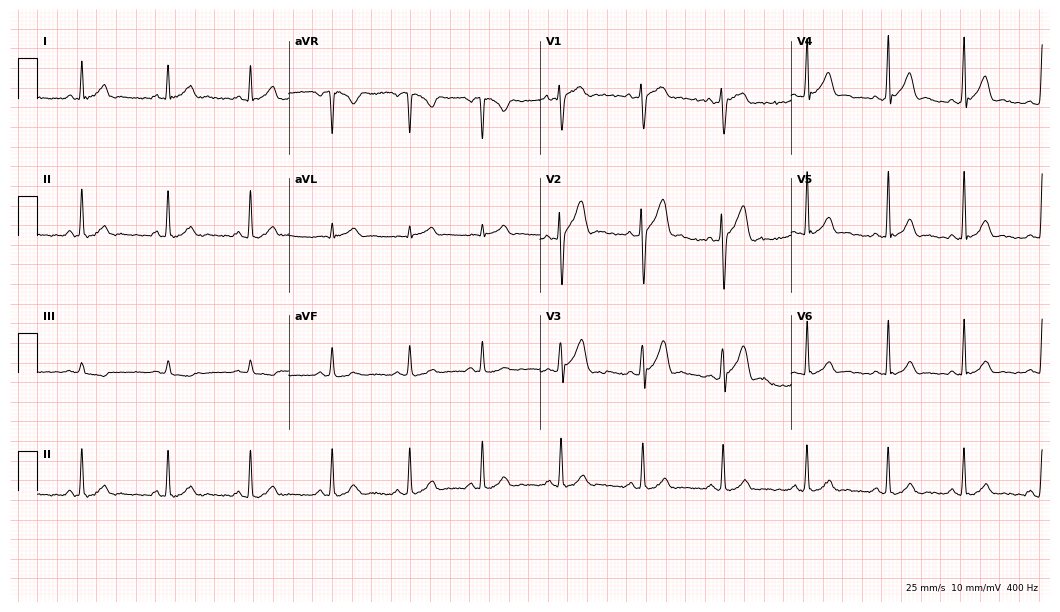
Standard 12-lead ECG recorded from a 34-year-old female patient (10.2-second recording at 400 Hz). Read as a normal ECG.